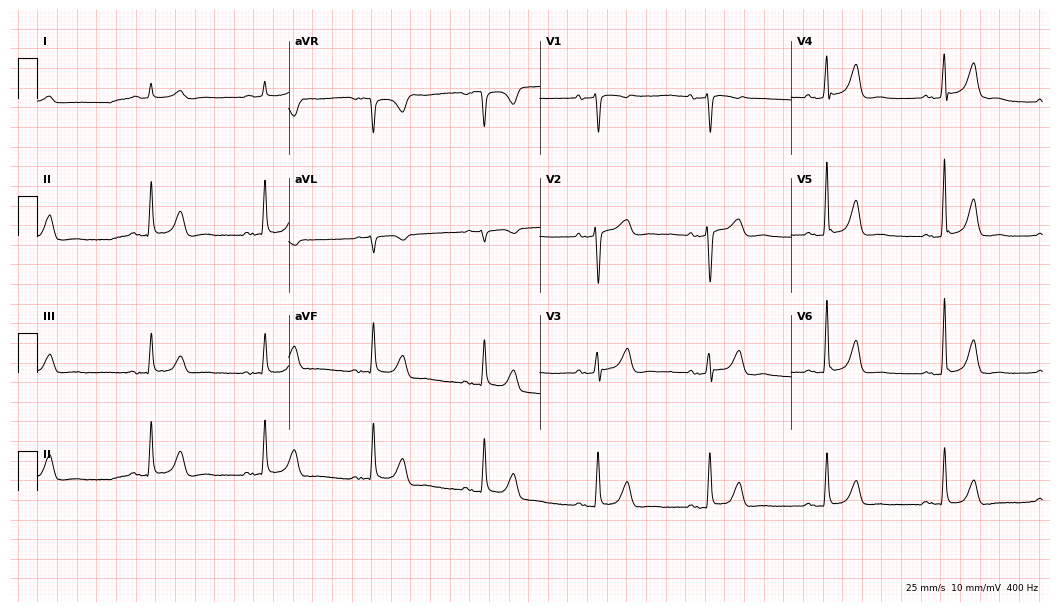
Resting 12-lead electrocardiogram (10.2-second recording at 400 Hz). Patient: a female, 68 years old. The tracing shows sinus bradycardia (a sinus rate of 50 beats per minute or less).